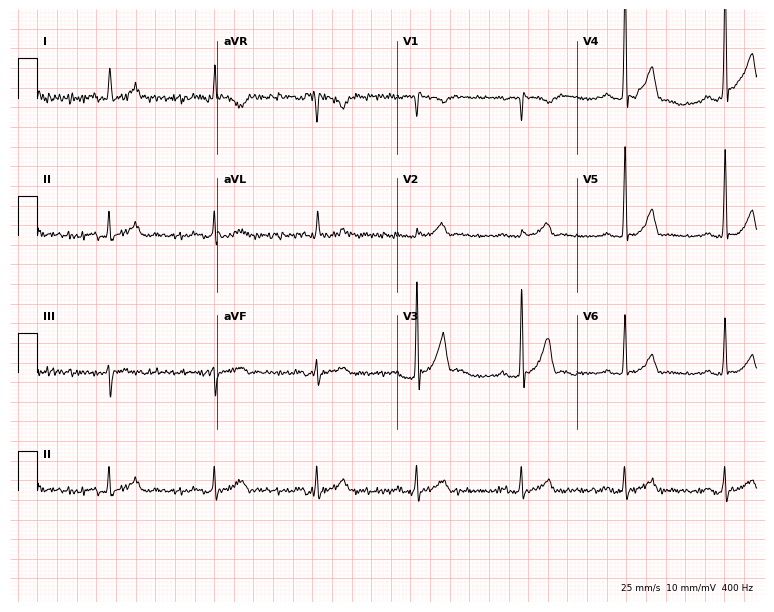
12-lead ECG (7.3-second recording at 400 Hz) from a male patient, 64 years old. Screened for six findings — first-degree AV block, right bundle branch block, left bundle branch block, sinus bradycardia, atrial fibrillation, sinus tachycardia — none is recorded. Other findings, if any, are not listed.